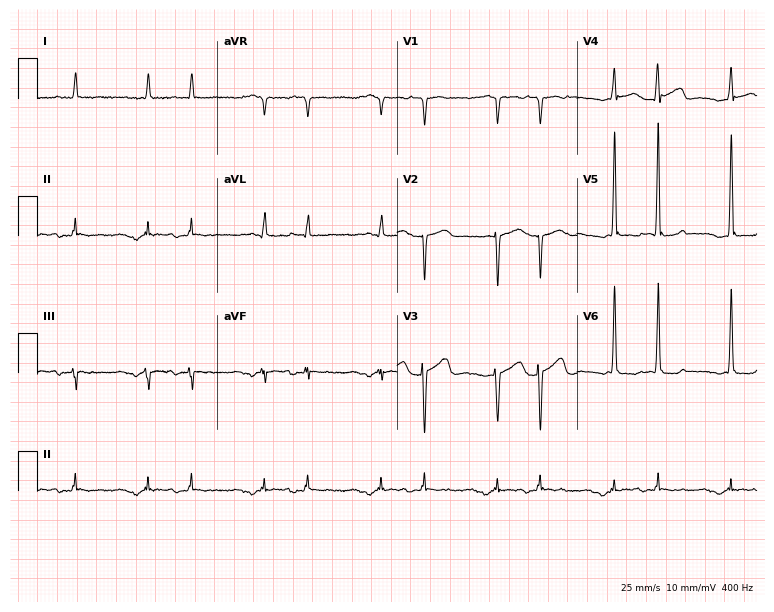
12-lead ECG (7.3-second recording at 400 Hz) from a 72-year-old woman. Findings include atrial fibrillation.